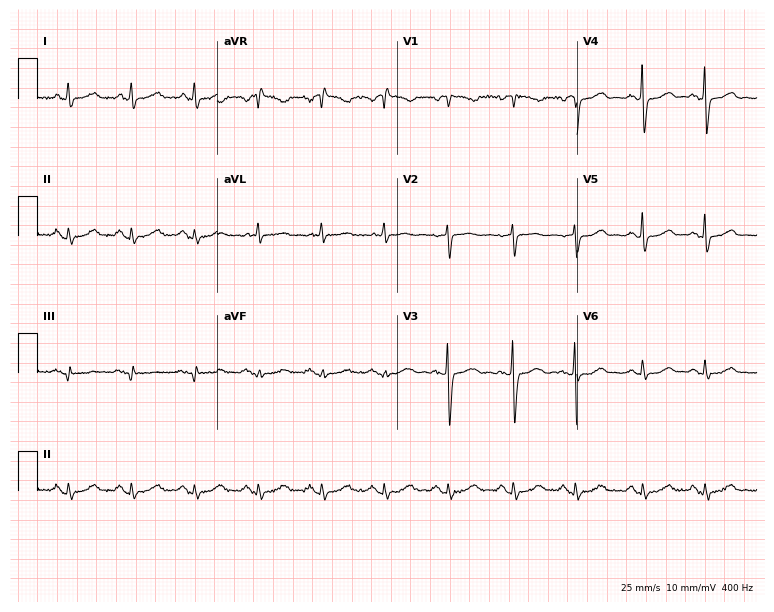
Standard 12-lead ECG recorded from a 71-year-old female patient (7.3-second recording at 400 Hz). Read as a normal ECG.